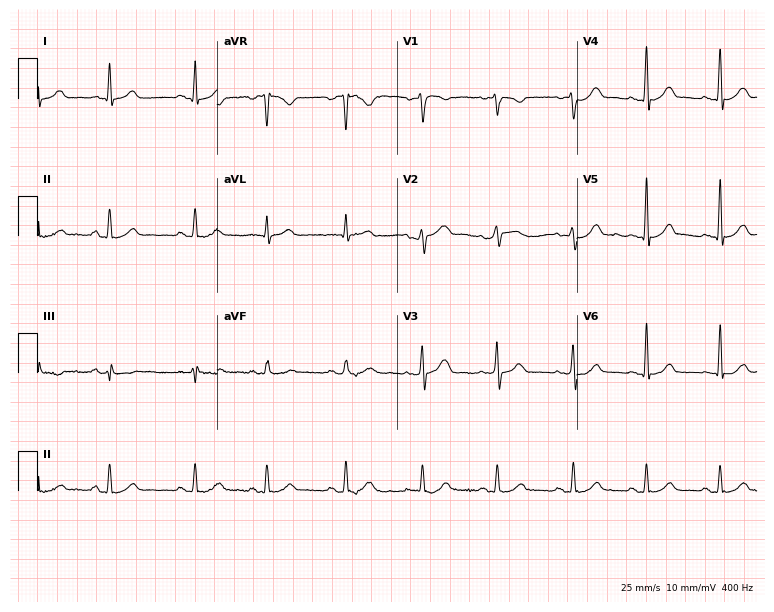
Resting 12-lead electrocardiogram (7.3-second recording at 400 Hz). Patient: a male, 44 years old. Read as a normal ECG.